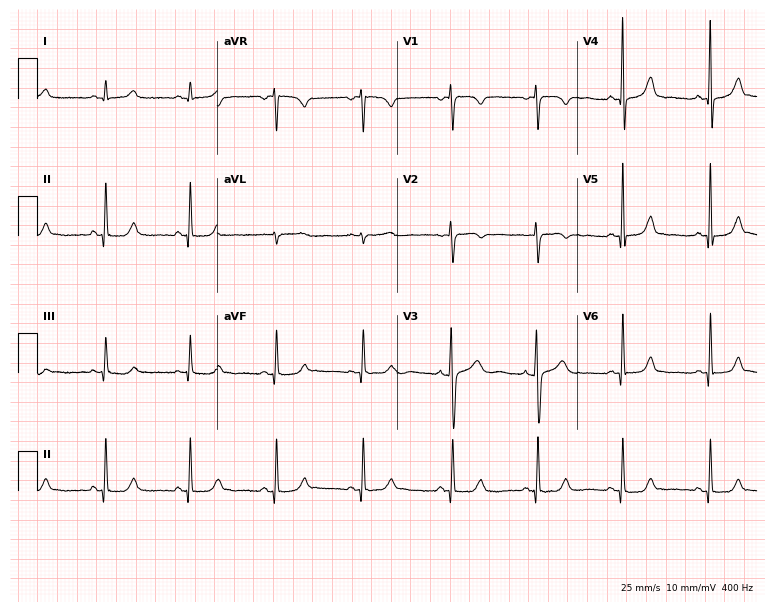
Standard 12-lead ECG recorded from a female, 50 years old (7.3-second recording at 400 Hz). None of these six findings is recorded: first-degree AV block, right bundle branch block, left bundle branch block, sinus bradycardia, atrial fibrillation, sinus tachycardia. Other findings, if any, are not listed.